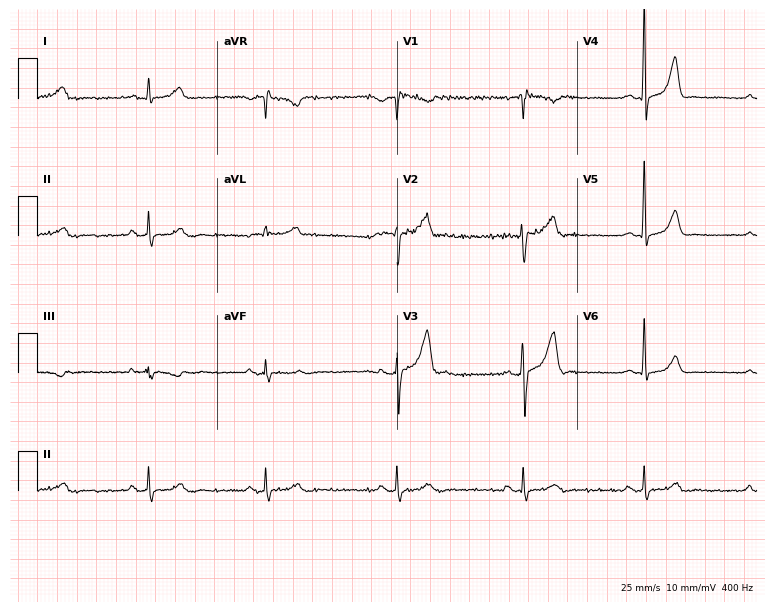
Standard 12-lead ECG recorded from a 41-year-old male patient. The tracing shows sinus bradycardia (a sinus rate of 50 beats per minute or less).